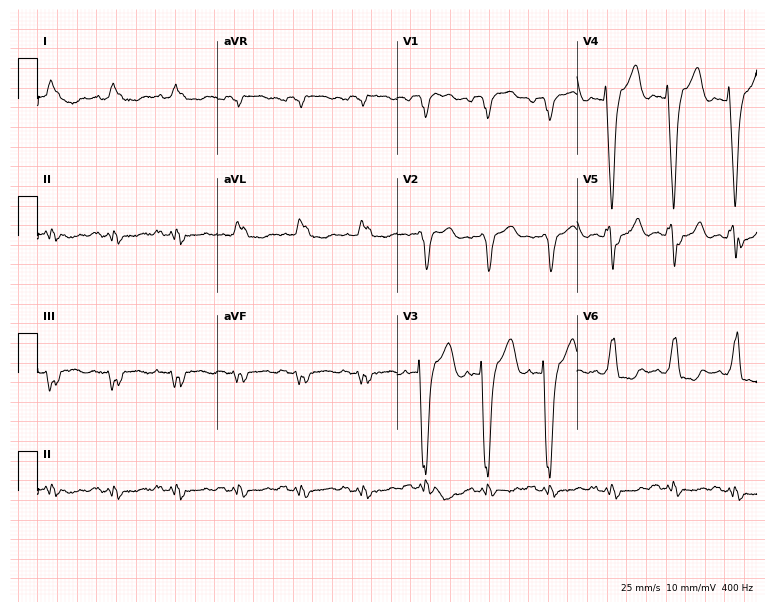
ECG — a male patient, 55 years old. Findings include left bundle branch block.